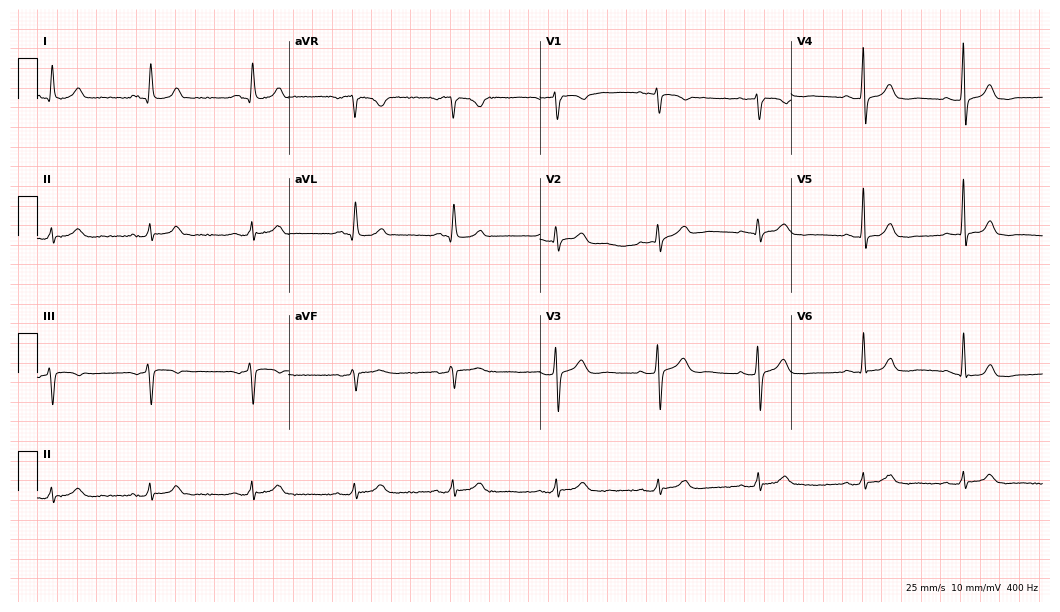
Standard 12-lead ECG recorded from a female patient, 56 years old (10.2-second recording at 400 Hz). None of these six findings is recorded: first-degree AV block, right bundle branch block (RBBB), left bundle branch block (LBBB), sinus bradycardia, atrial fibrillation (AF), sinus tachycardia. Only these six findings were labelled.